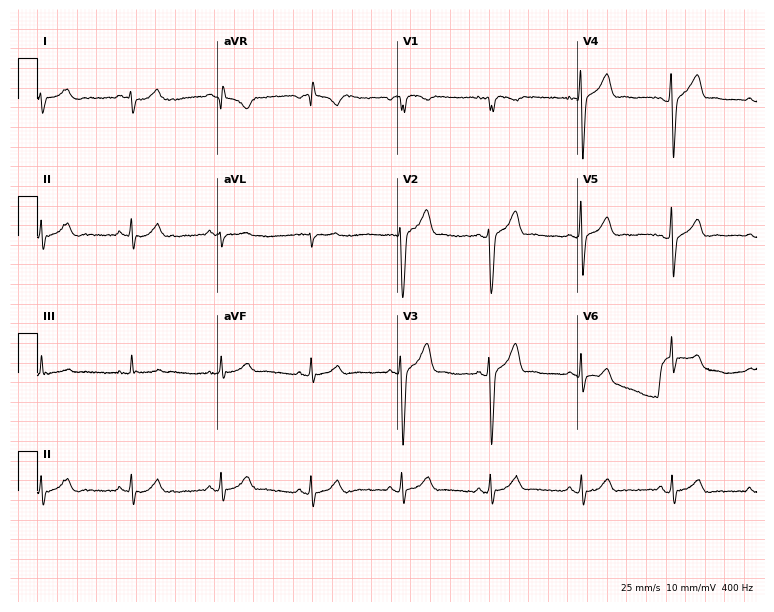
Standard 12-lead ECG recorded from a male patient, 33 years old. Read as a normal ECG.